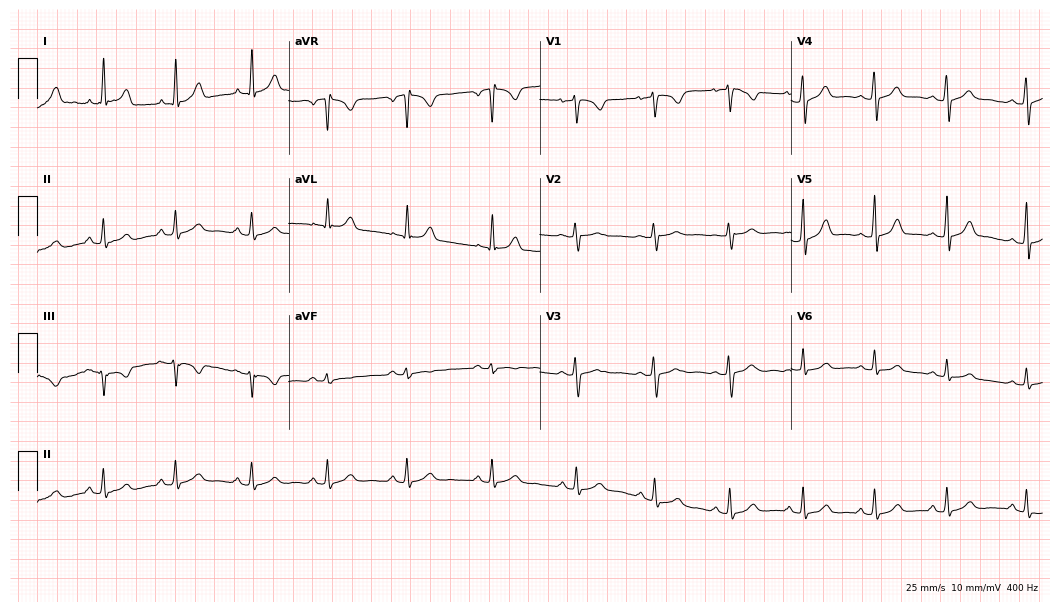
Resting 12-lead electrocardiogram (10.2-second recording at 400 Hz). Patient: a 20-year-old woman. Read as a normal ECG.